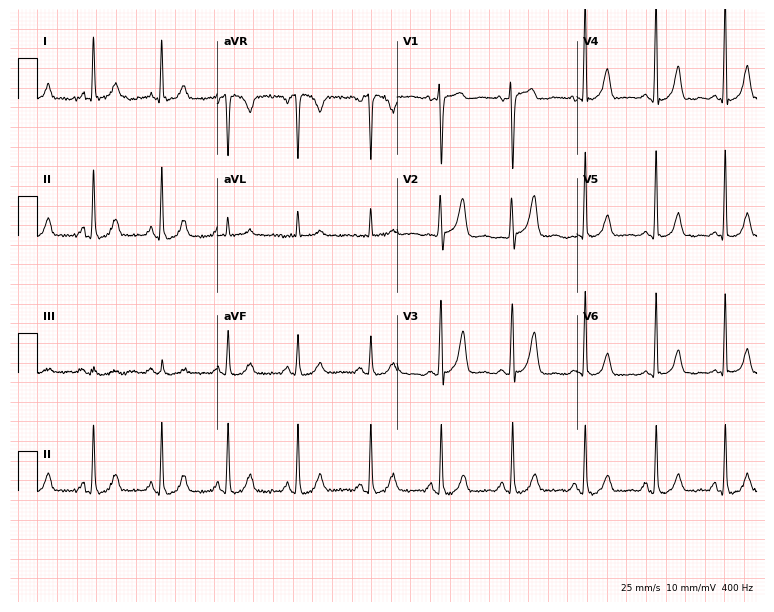
ECG (7.3-second recording at 400 Hz) — a woman, 40 years old. Labelled as a normal ECG.